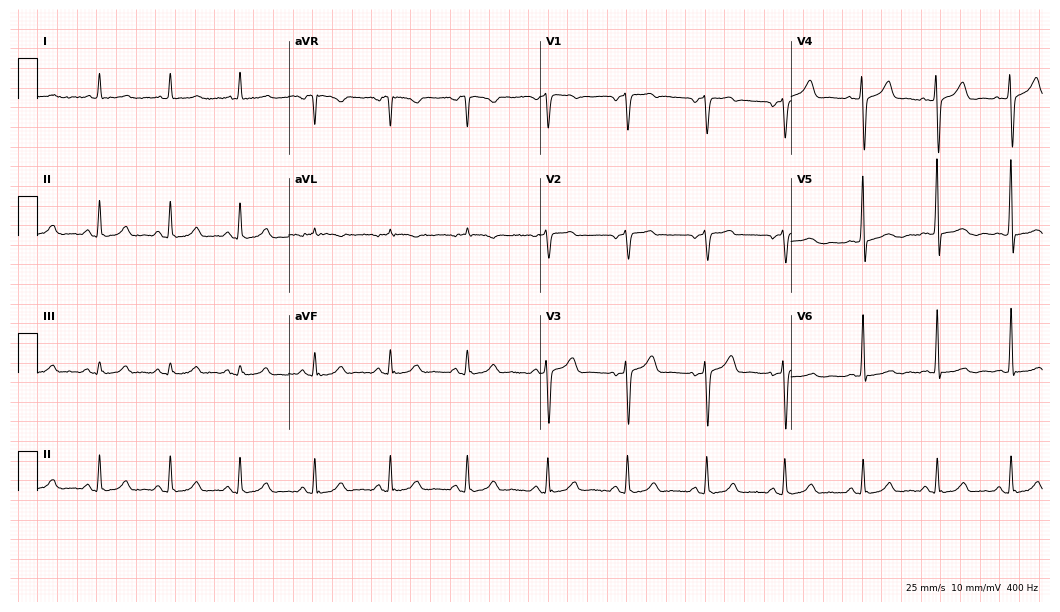
12-lead ECG from a female patient, 38 years old (10.2-second recording at 400 Hz). Recorded interpretation: within normal limits.